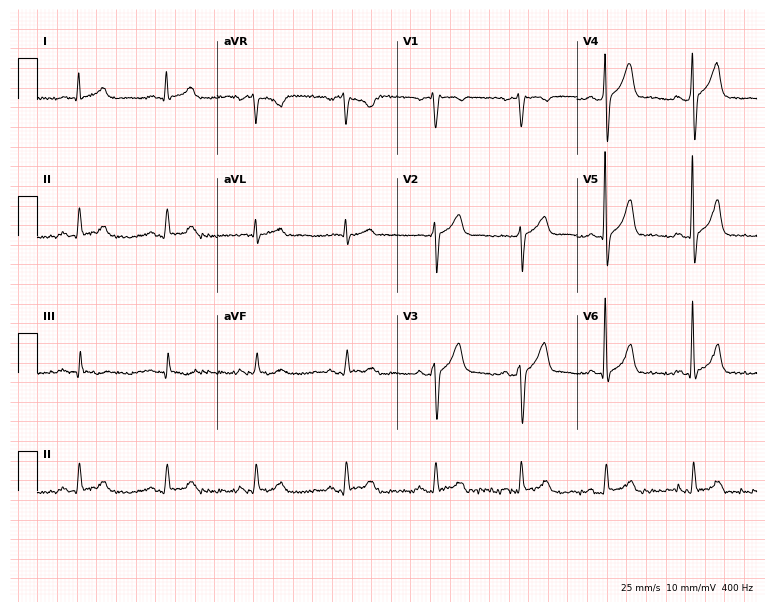
Resting 12-lead electrocardiogram (7.3-second recording at 400 Hz). Patient: a male, 58 years old. Read as a normal ECG.